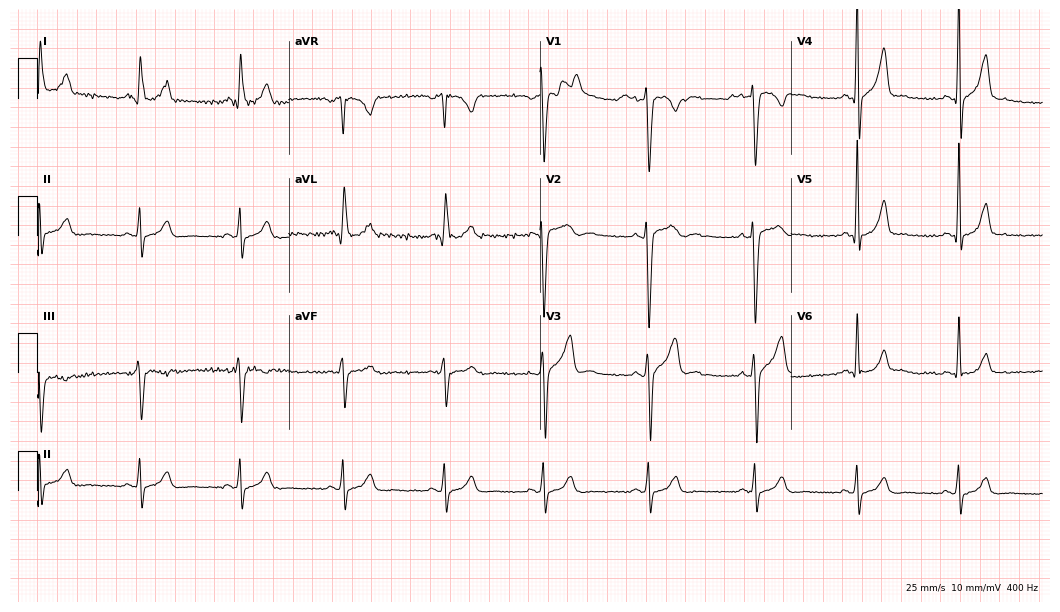
ECG (10.2-second recording at 400 Hz) — a 31-year-old male. Labelled as a normal ECG.